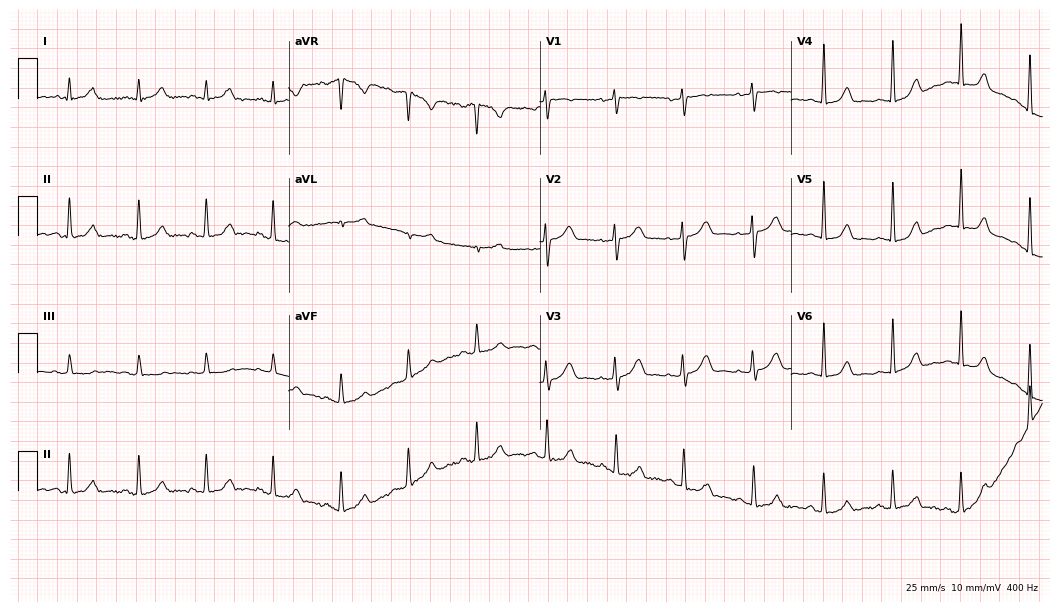
12-lead ECG from a female, 46 years old (10.2-second recording at 400 Hz). Recorded interpretation: within normal limits.